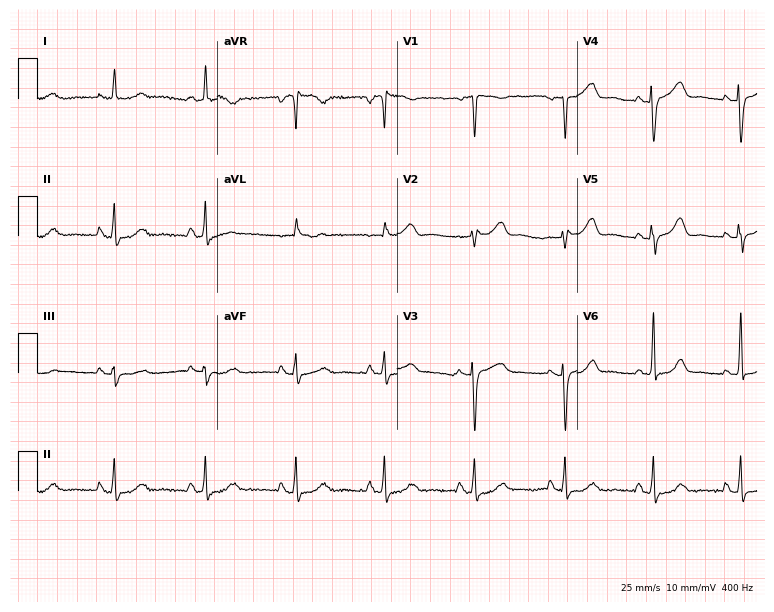
12-lead ECG from a 66-year-old female patient. Recorded interpretation: within normal limits.